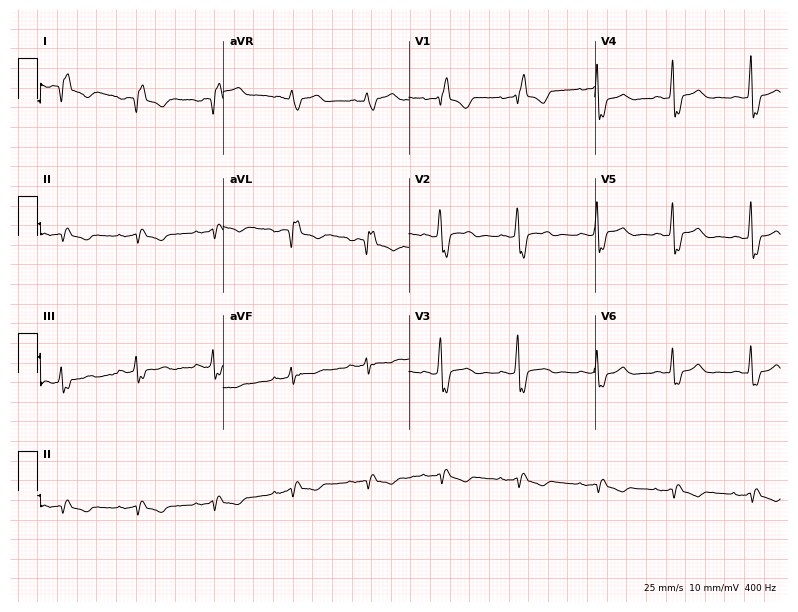
ECG (7.6-second recording at 400 Hz) — a woman, 31 years old. Screened for six findings — first-degree AV block, right bundle branch block, left bundle branch block, sinus bradycardia, atrial fibrillation, sinus tachycardia — none is recorded. Findings outside these six are not listed.